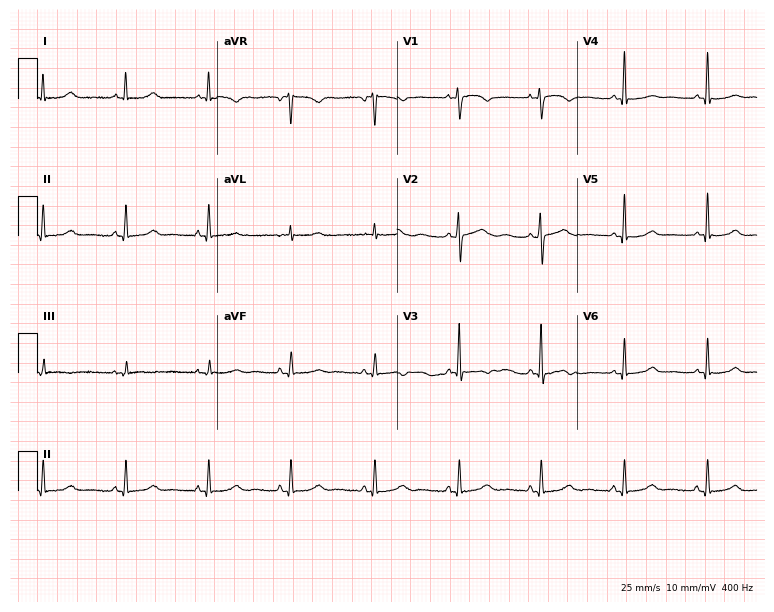
12-lead ECG from a 49-year-old woman. No first-degree AV block, right bundle branch block, left bundle branch block, sinus bradycardia, atrial fibrillation or sinus tachycardia recorded for this tracing. Other findings, if any, are not listed.